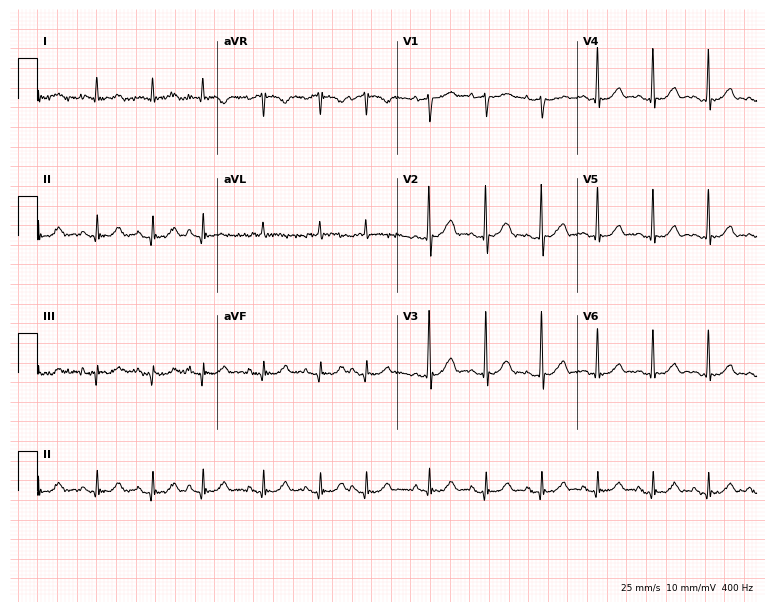
ECG — a 68-year-old female patient. Screened for six findings — first-degree AV block, right bundle branch block, left bundle branch block, sinus bradycardia, atrial fibrillation, sinus tachycardia — none is recorded. Findings outside these six are not listed.